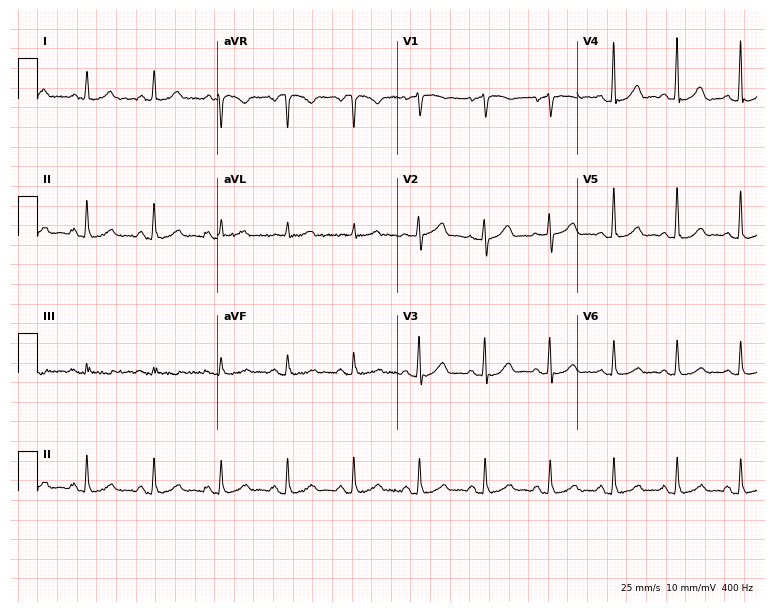
ECG (7.3-second recording at 400 Hz) — a female patient, 61 years old. Labelled as a normal ECG.